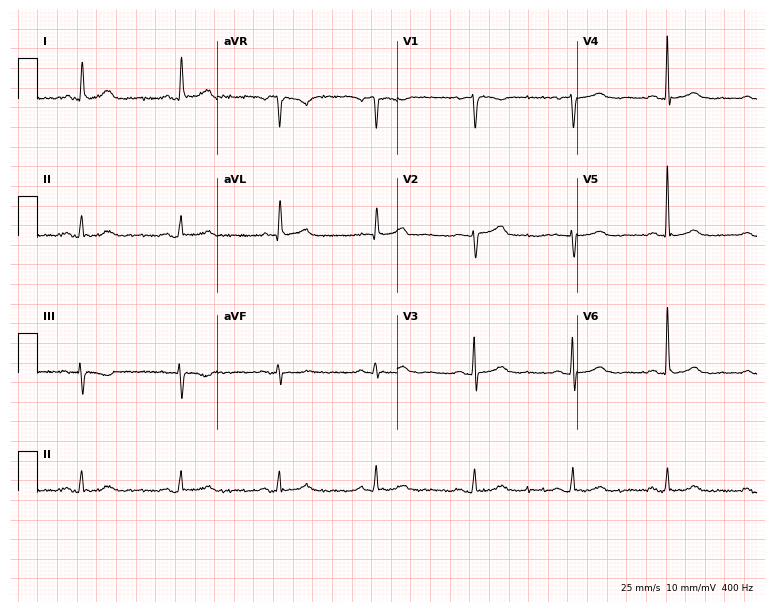
Resting 12-lead electrocardiogram. Patient: a 56-year-old woman. None of these six findings is recorded: first-degree AV block, right bundle branch block (RBBB), left bundle branch block (LBBB), sinus bradycardia, atrial fibrillation (AF), sinus tachycardia. Only these six findings were labelled.